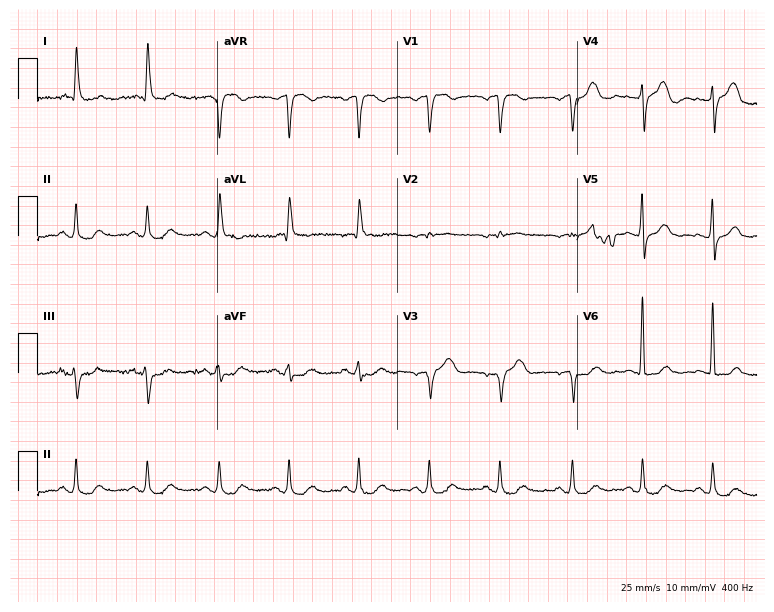
12-lead ECG from a female patient, 82 years old (7.3-second recording at 400 Hz). No first-degree AV block, right bundle branch block, left bundle branch block, sinus bradycardia, atrial fibrillation or sinus tachycardia recorded for this tracing.